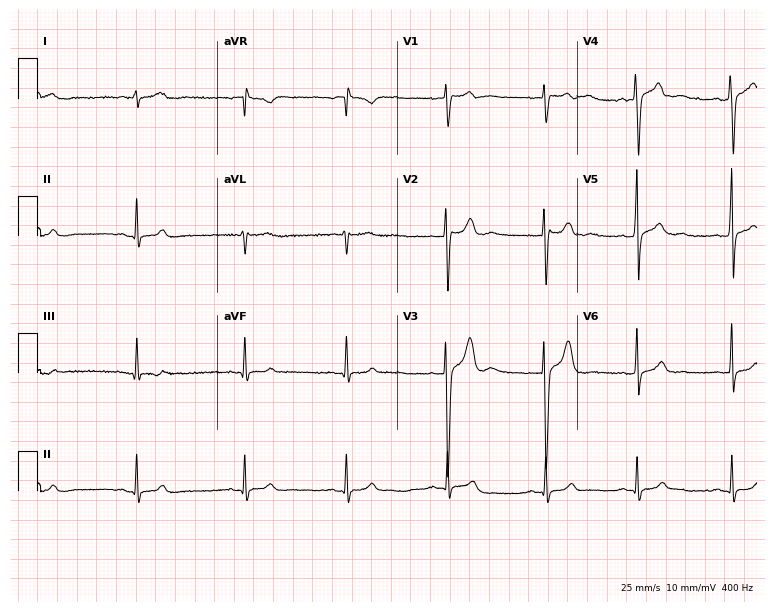
Electrocardiogram (7.3-second recording at 400 Hz), a 24-year-old man. Of the six screened findings (first-degree AV block, right bundle branch block (RBBB), left bundle branch block (LBBB), sinus bradycardia, atrial fibrillation (AF), sinus tachycardia), none is recorded. Other findings, if any, are not listed.